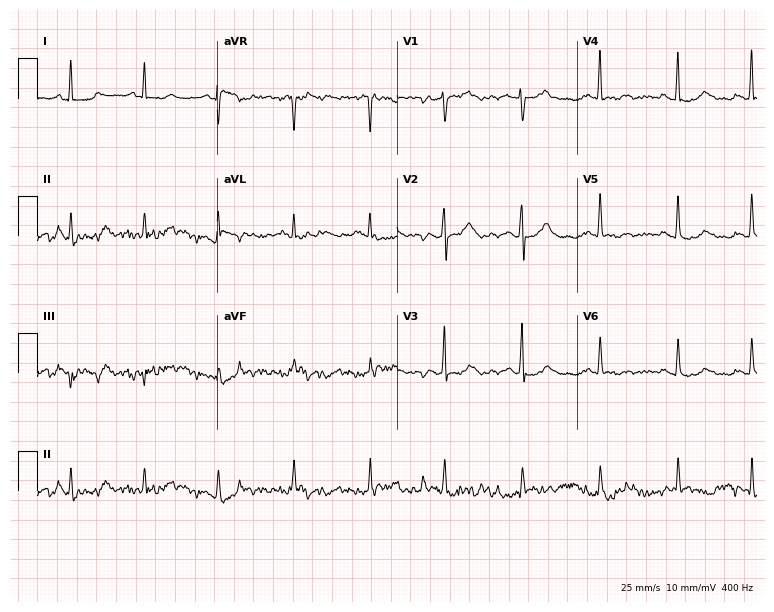
Resting 12-lead electrocardiogram (7.3-second recording at 400 Hz). Patient: a 55-year-old female. None of these six findings is recorded: first-degree AV block, right bundle branch block (RBBB), left bundle branch block (LBBB), sinus bradycardia, atrial fibrillation (AF), sinus tachycardia.